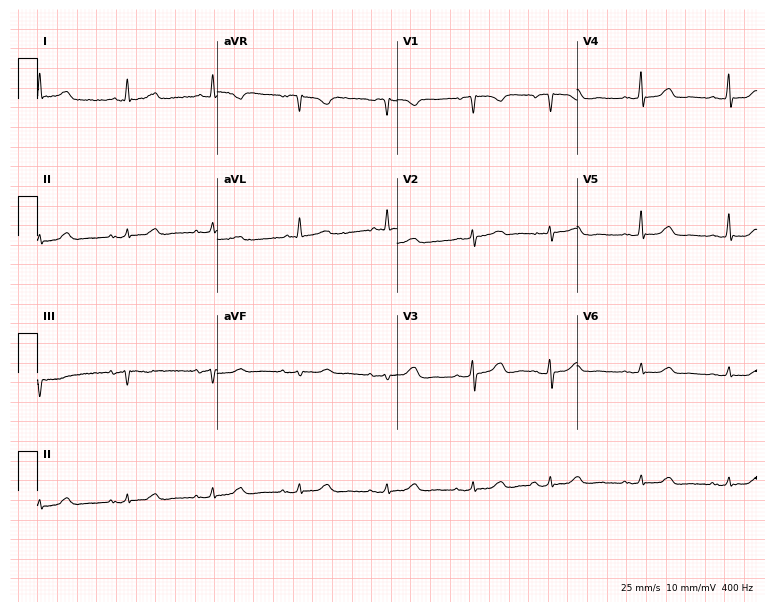
12-lead ECG from a 72-year-old woman (7.3-second recording at 400 Hz). No first-degree AV block, right bundle branch block (RBBB), left bundle branch block (LBBB), sinus bradycardia, atrial fibrillation (AF) or sinus tachycardia recorded for this tracing. Other findings, if any, are not listed.